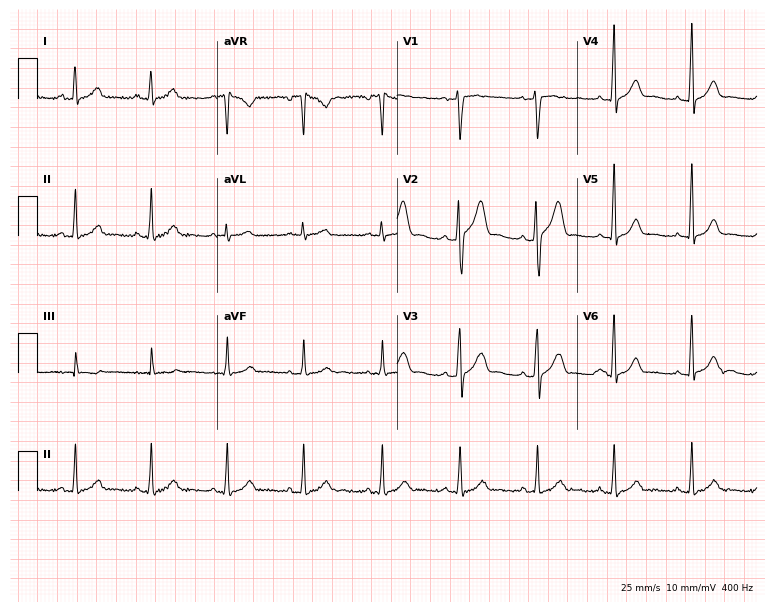
Standard 12-lead ECG recorded from a male patient, 37 years old (7.3-second recording at 400 Hz). Read as a normal ECG.